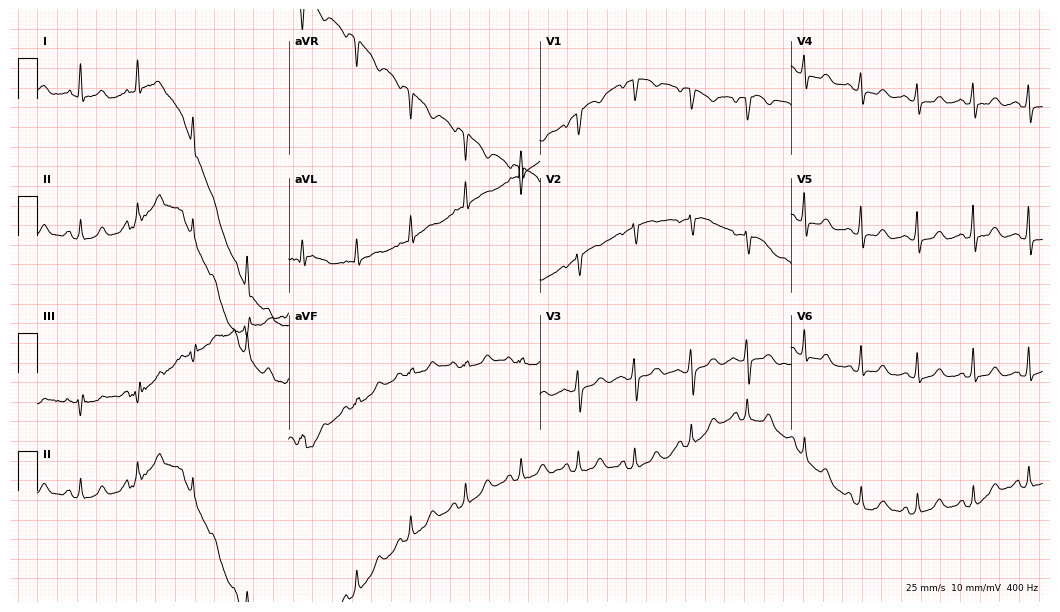
Standard 12-lead ECG recorded from a 58-year-old female (10.2-second recording at 400 Hz). None of these six findings is recorded: first-degree AV block, right bundle branch block, left bundle branch block, sinus bradycardia, atrial fibrillation, sinus tachycardia. Other findings, if any, are not listed.